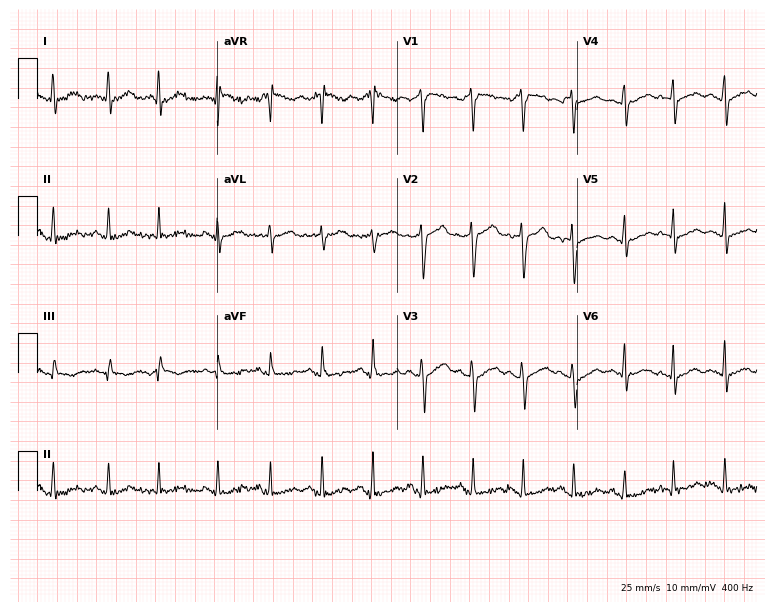
ECG — a 35-year-old male patient. Findings include sinus tachycardia (a sinus rate of 100 beats per minute or more).